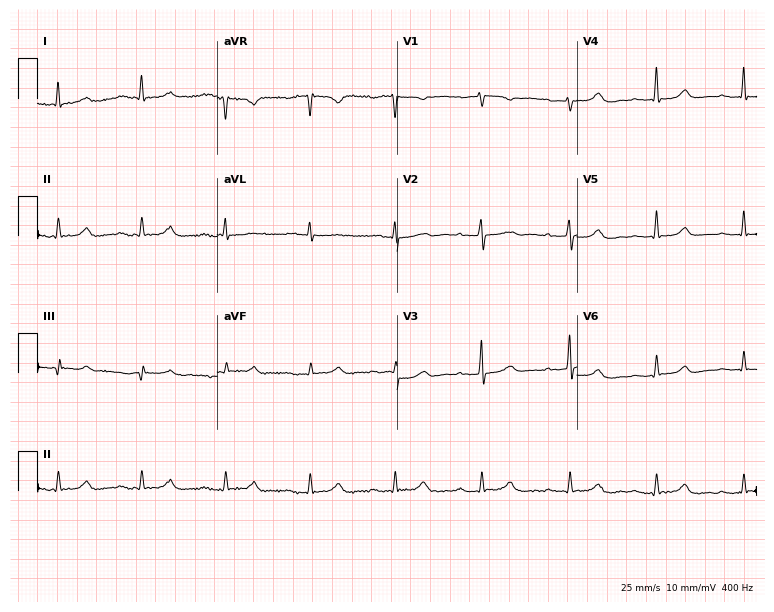
ECG (7.3-second recording at 400 Hz) — a female, 65 years old. Findings include first-degree AV block.